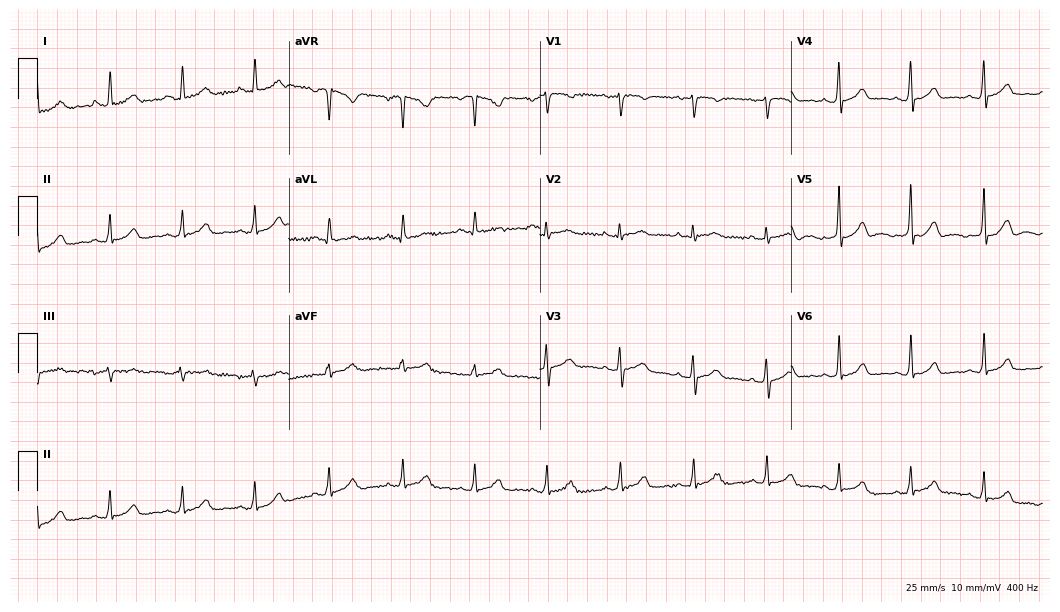
Standard 12-lead ECG recorded from a female, 21 years old (10.2-second recording at 400 Hz). Read as a normal ECG.